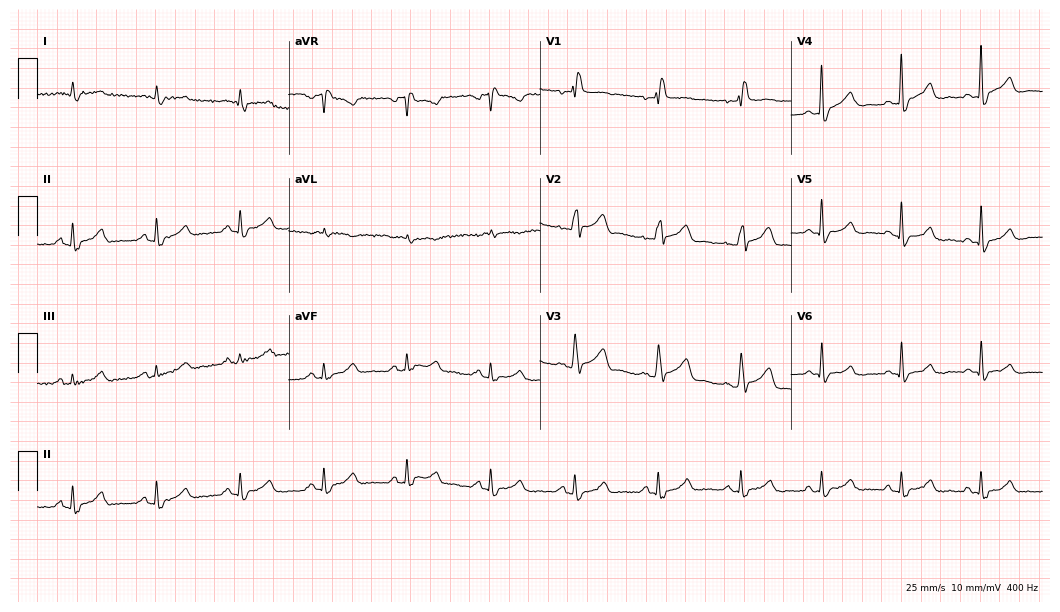
Resting 12-lead electrocardiogram. Patient: a 60-year-old male. None of these six findings is recorded: first-degree AV block, right bundle branch block, left bundle branch block, sinus bradycardia, atrial fibrillation, sinus tachycardia.